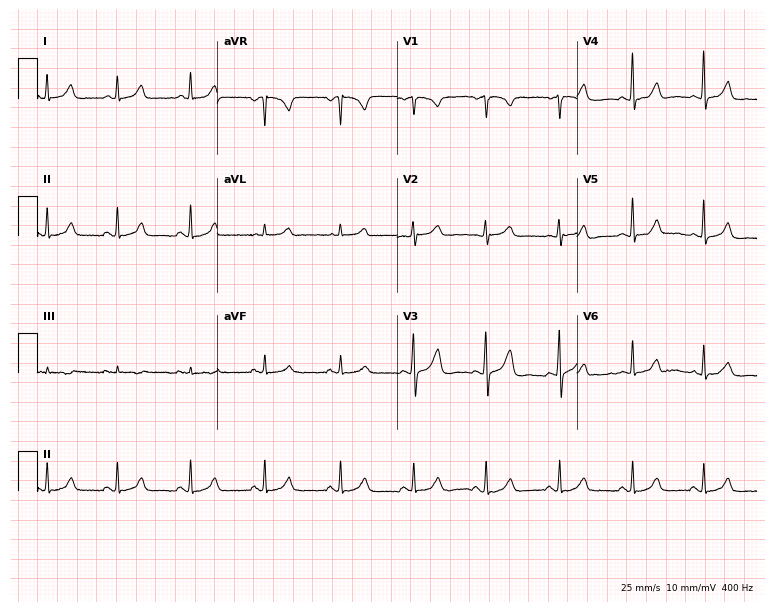
Standard 12-lead ECG recorded from a female patient, 33 years old. None of these six findings is recorded: first-degree AV block, right bundle branch block (RBBB), left bundle branch block (LBBB), sinus bradycardia, atrial fibrillation (AF), sinus tachycardia. Findings outside these six are not listed.